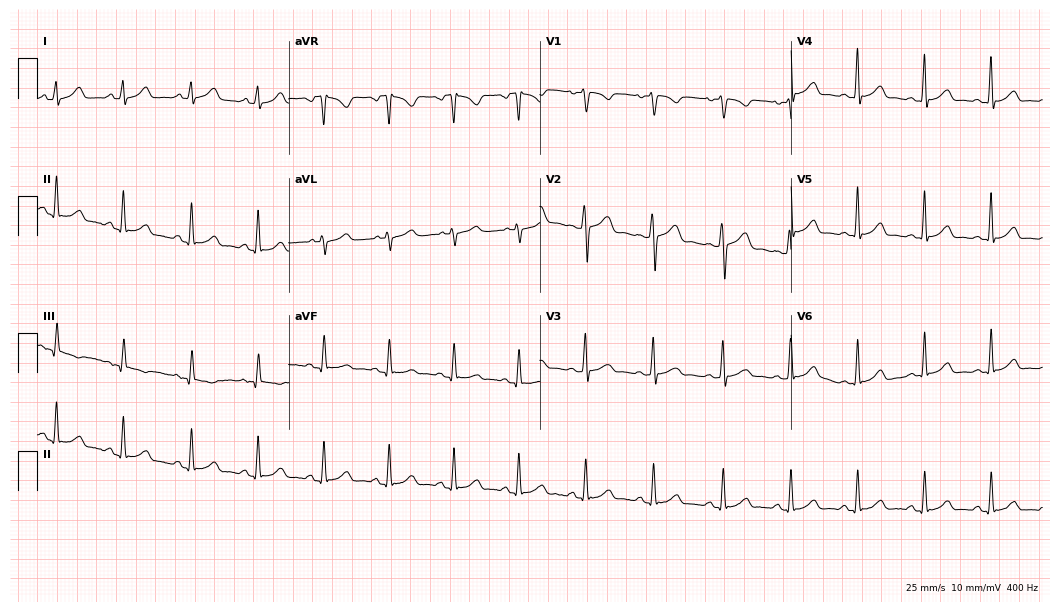
Electrocardiogram (10.2-second recording at 400 Hz), a 21-year-old female patient. Overall reading on record: normal ECG.